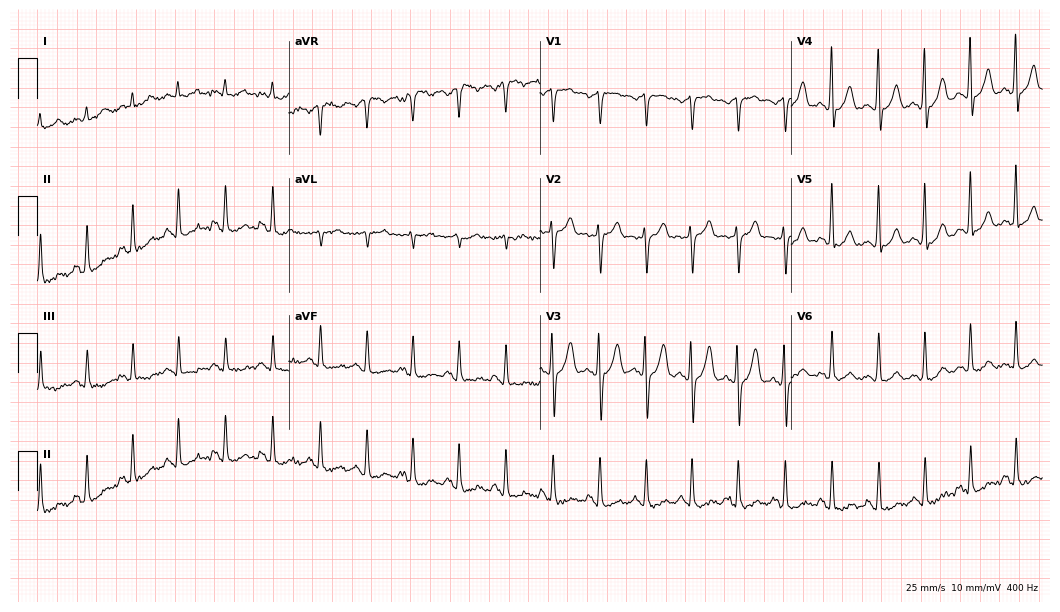
Electrocardiogram, a man, 53 years old. Interpretation includes sinus tachycardia (a sinus rate of 100 beats per minute or more).